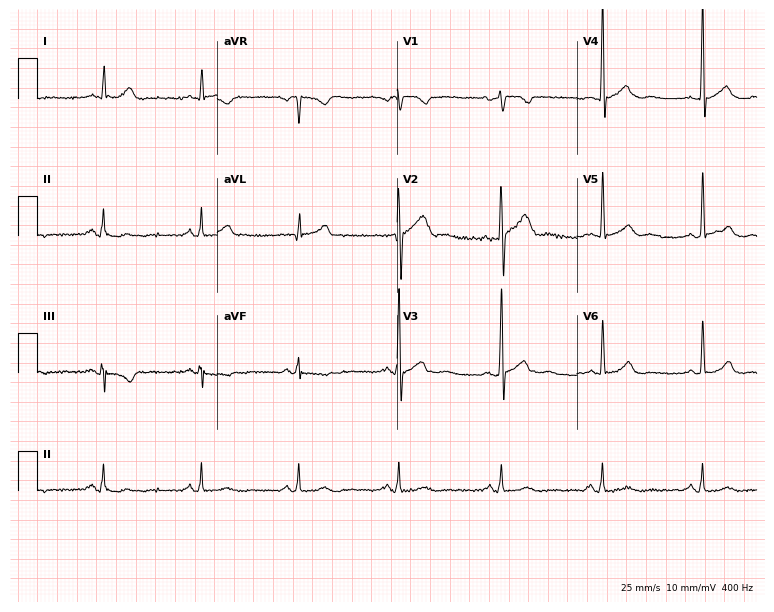
12-lead ECG from a male, 50 years old. No first-degree AV block, right bundle branch block, left bundle branch block, sinus bradycardia, atrial fibrillation or sinus tachycardia recorded for this tracing. Findings outside these six are not listed.